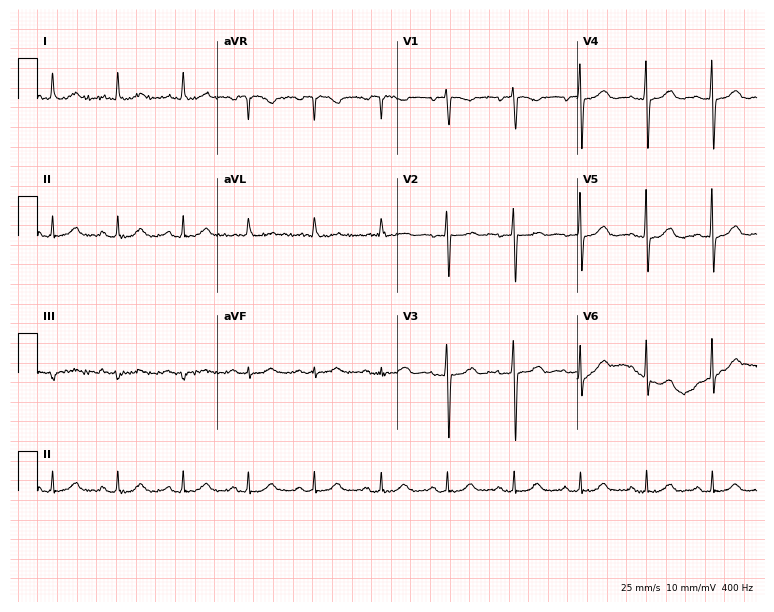
ECG (7.3-second recording at 400 Hz) — a 79-year-old female patient. Labelled as a normal ECG.